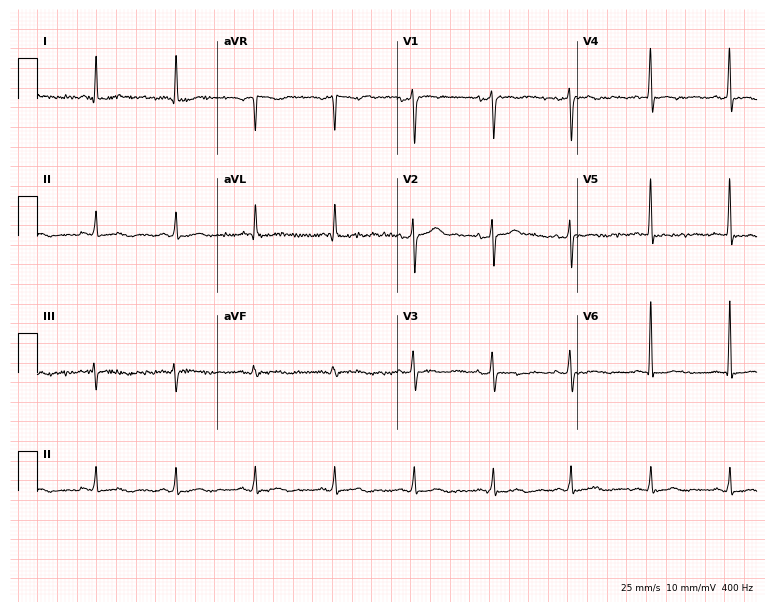
Standard 12-lead ECG recorded from a 41-year-old male (7.3-second recording at 400 Hz). None of these six findings is recorded: first-degree AV block, right bundle branch block, left bundle branch block, sinus bradycardia, atrial fibrillation, sinus tachycardia. Only these six findings were labelled.